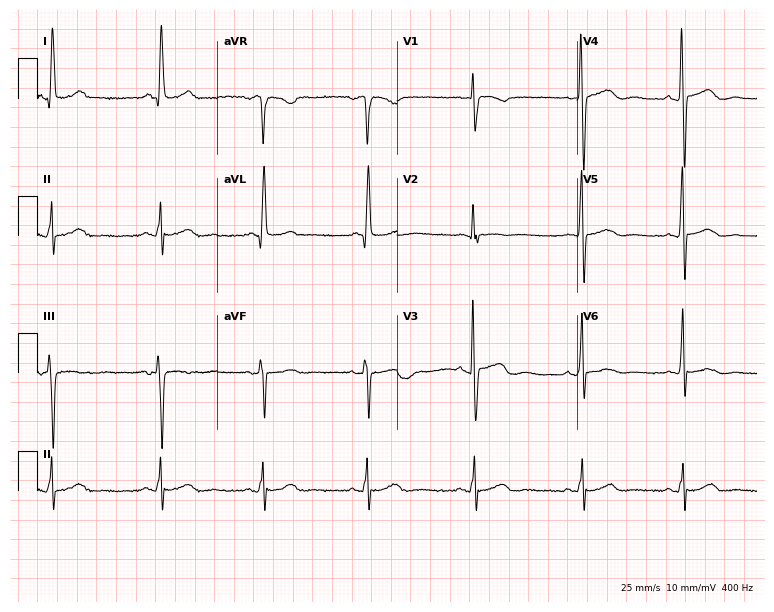
12-lead ECG from a 66-year-old female (7.3-second recording at 400 Hz). No first-degree AV block, right bundle branch block, left bundle branch block, sinus bradycardia, atrial fibrillation or sinus tachycardia recorded for this tracing. Only these six findings were labelled.